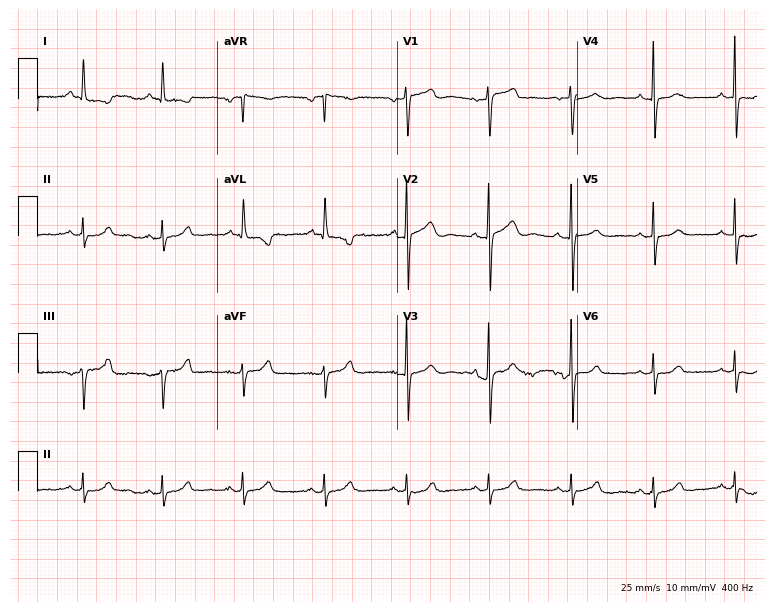
12-lead ECG (7.3-second recording at 400 Hz) from a female patient, 74 years old. Screened for six findings — first-degree AV block, right bundle branch block, left bundle branch block, sinus bradycardia, atrial fibrillation, sinus tachycardia — none is recorded.